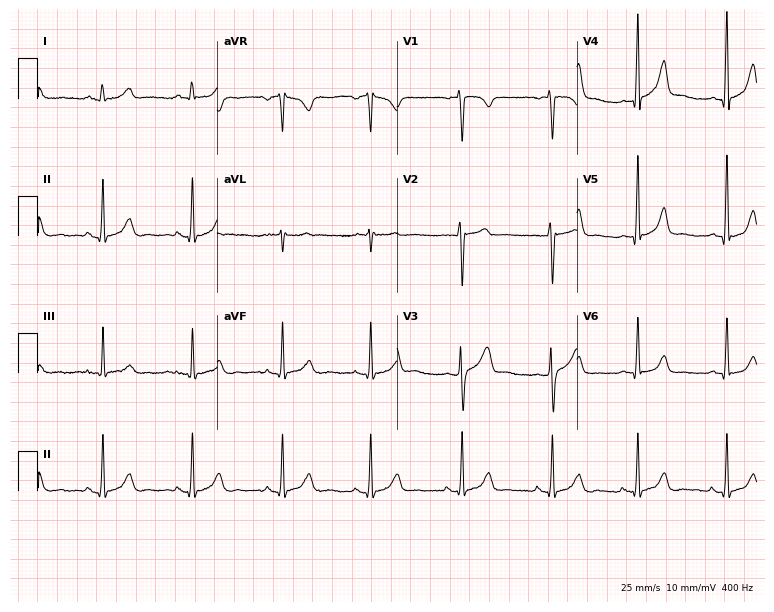
Electrocardiogram (7.3-second recording at 400 Hz), a woman, 32 years old. Of the six screened findings (first-degree AV block, right bundle branch block, left bundle branch block, sinus bradycardia, atrial fibrillation, sinus tachycardia), none is recorded. Only these six findings were labelled.